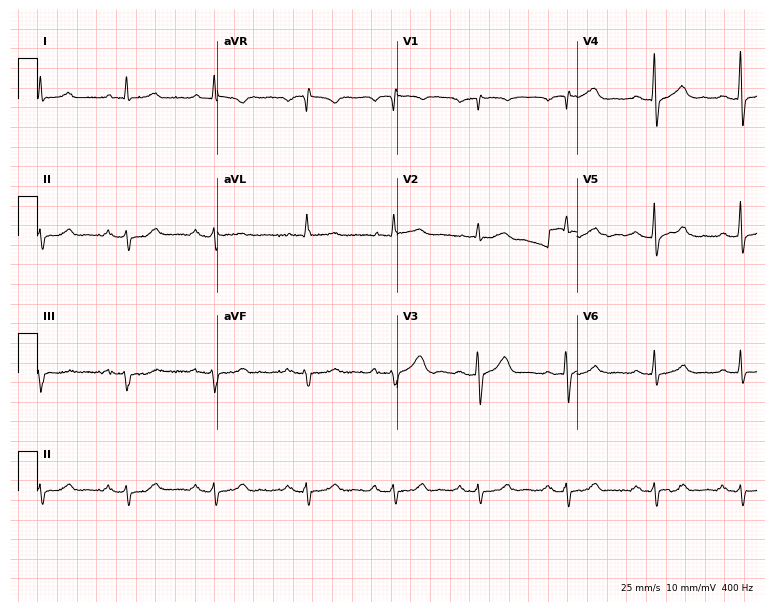
Standard 12-lead ECG recorded from an 80-year-old male patient (7.3-second recording at 400 Hz). None of these six findings is recorded: first-degree AV block, right bundle branch block (RBBB), left bundle branch block (LBBB), sinus bradycardia, atrial fibrillation (AF), sinus tachycardia. Only these six findings were labelled.